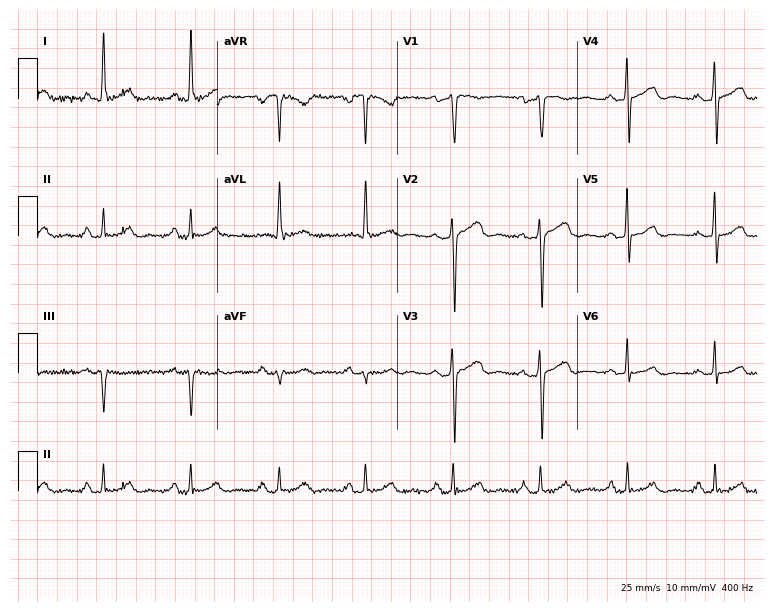
Standard 12-lead ECG recorded from a 59-year-old woman. None of these six findings is recorded: first-degree AV block, right bundle branch block, left bundle branch block, sinus bradycardia, atrial fibrillation, sinus tachycardia.